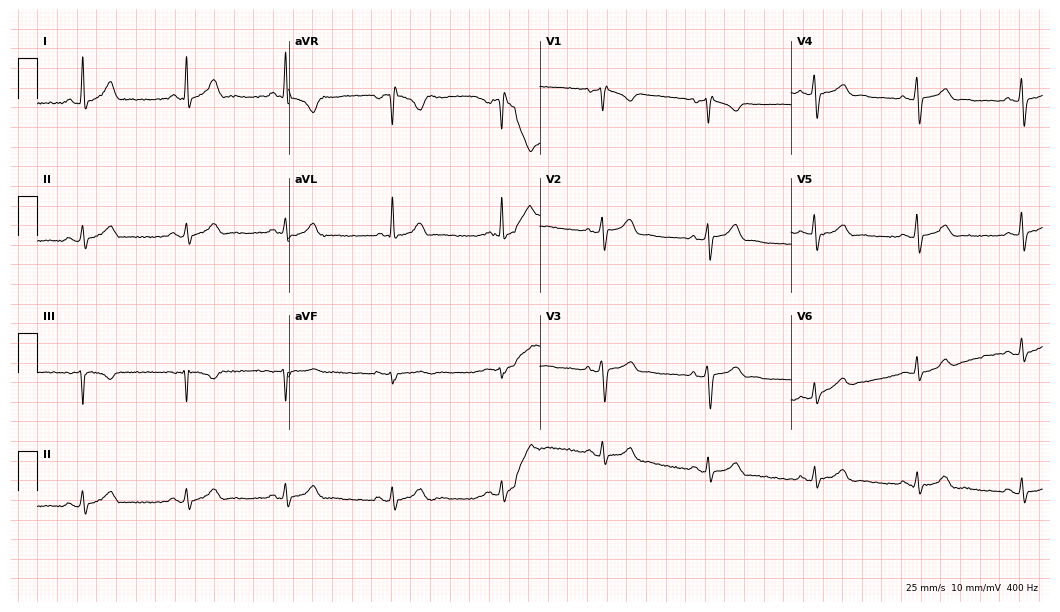
Resting 12-lead electrocardiogram (10.2-second recording at 400 Hz). Patient: a man, 49 years old. Read as a normal ECG.